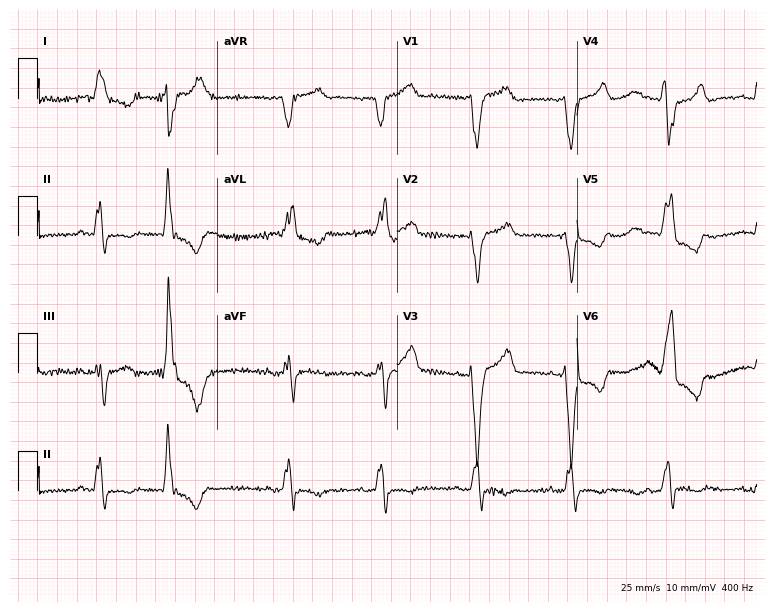
ECG — a woman, 80 years old. Findings include left bundle branch block.